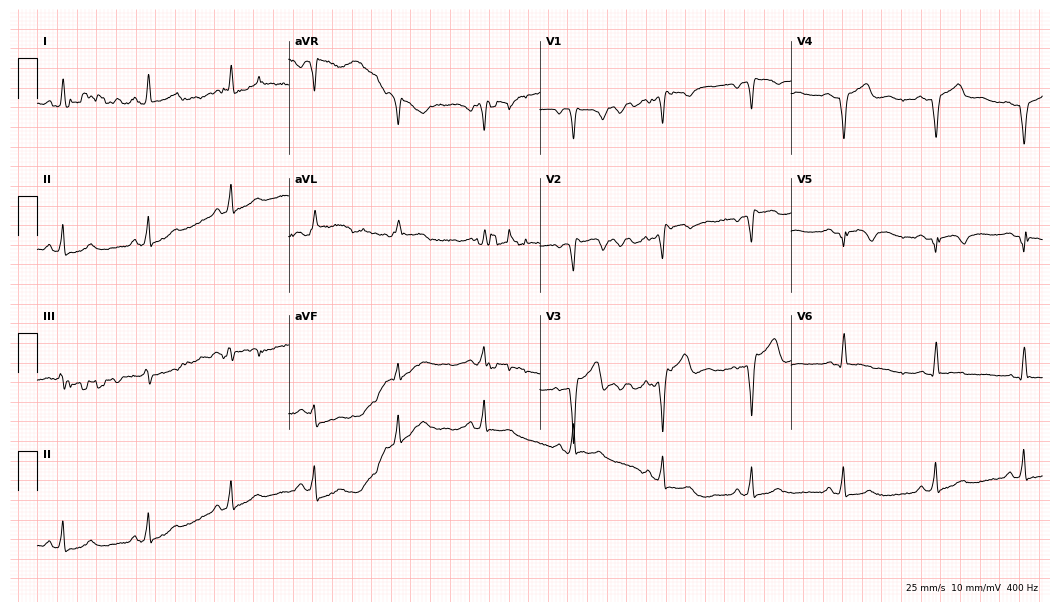
Electrocardiogram (10.2-second recording at 400 Hz), a 65-year-old man. Of the six screened findings (first-degree AV block, right bundle branch block, left bundle branch block, sinus bradycardia, atrial fibrillation, sinus tachycardia), none is recorded.